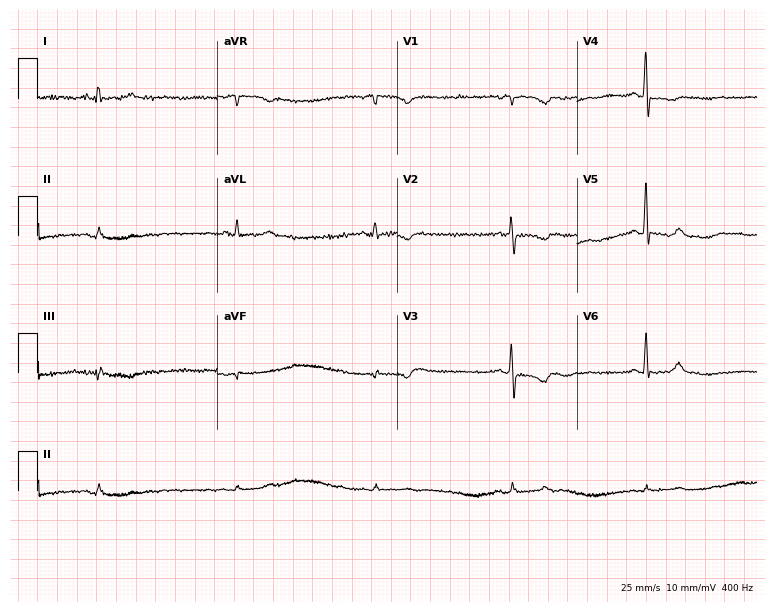
Electrocardiogram, a 65-year-old female. Interpretation includes sinus bradycardia (a sinus rate of 50 beats per minute or less).